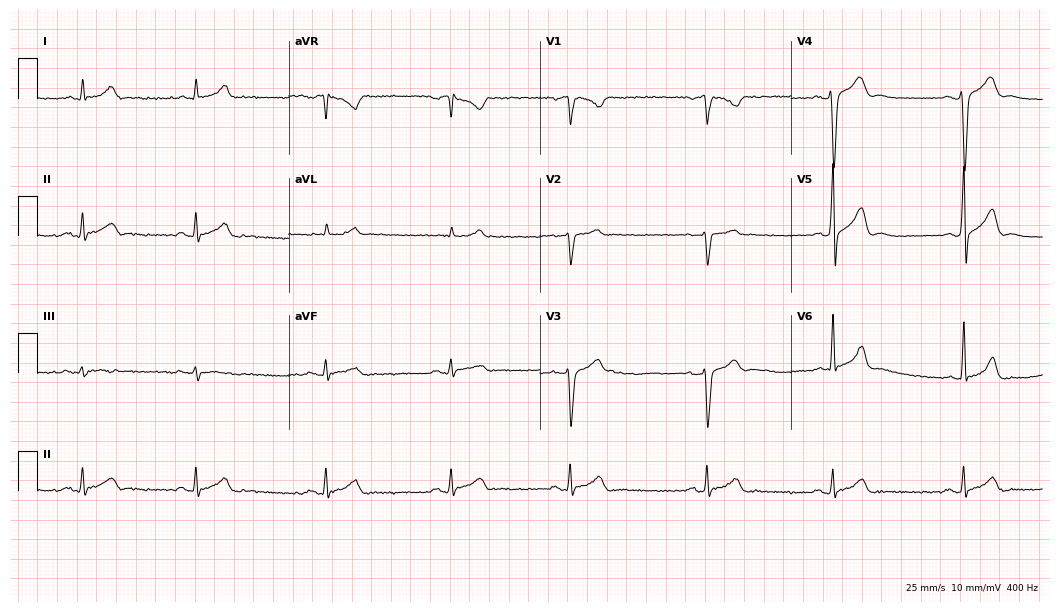
Electrocardiogram (10.2-second recording at 400 Hz), a 35-year-old male. Interpretation includes sinus bradycardia (a sinus rate of 50 beats per minute or less).